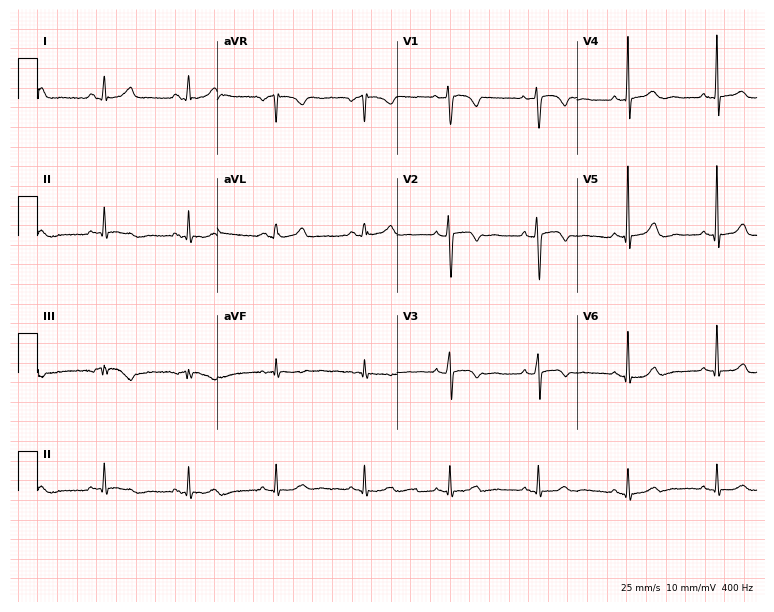
Standard 12-lead ECG recorded from a woman, 58 years old. Read as a normal ECG.